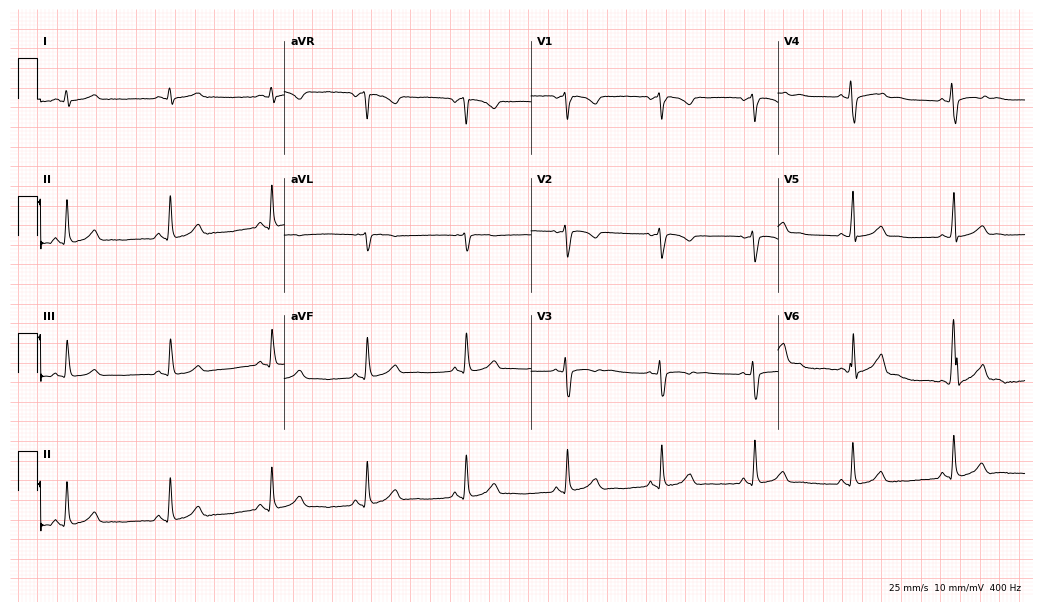
Standard 12-lead ECG recorded from a 26-year-old woman. None of these six findings is recorded: first-degree AV block, right bundle branch block, left bundle branch block, sinus bradycardia, atrial fibrillation, sinus tachycardia.